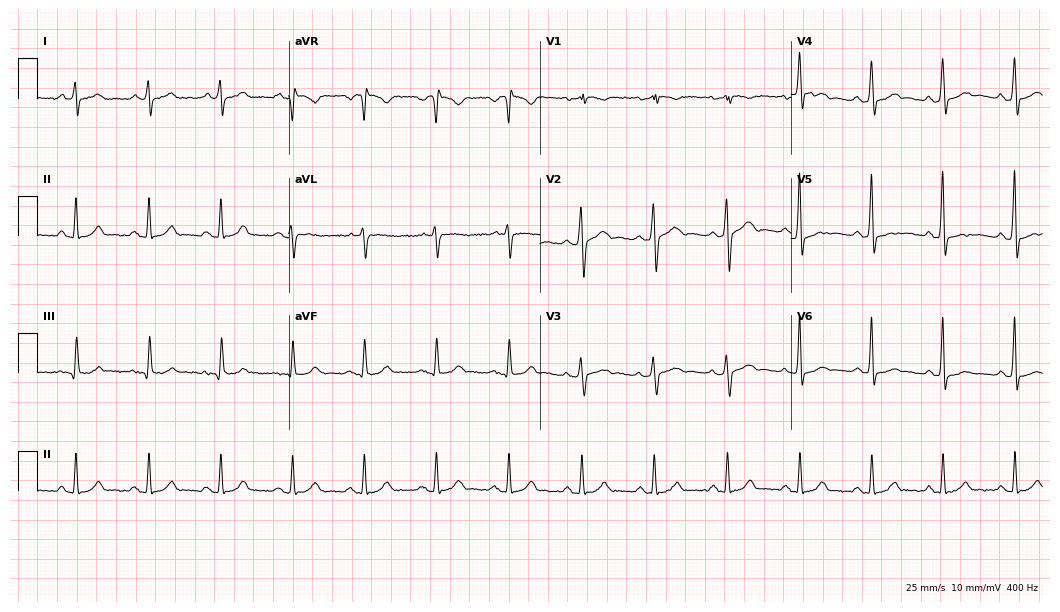
Standard 12-lead ECG recorded from a 61-year-old male (10.2-second recording at 400 Hz). Read as a normal ECG.